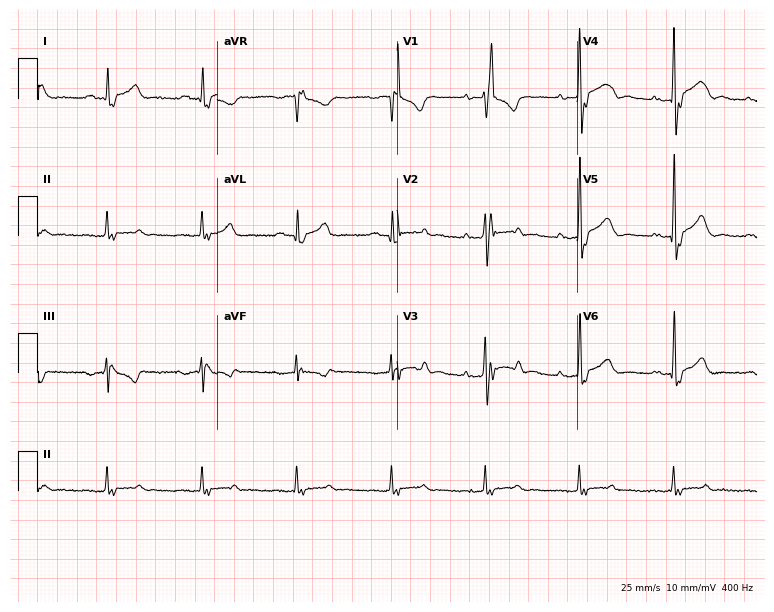
12-lead ECG from a 73-year-old male patient. Screened for six findings — first-degree AV block, right bundle branch block (RBBB), left bundle branch block (LBBB), sinus bradycardia, atrial fibrillation (AF), sinus tachycardia — none is recorded. Only these six findings were labelled.